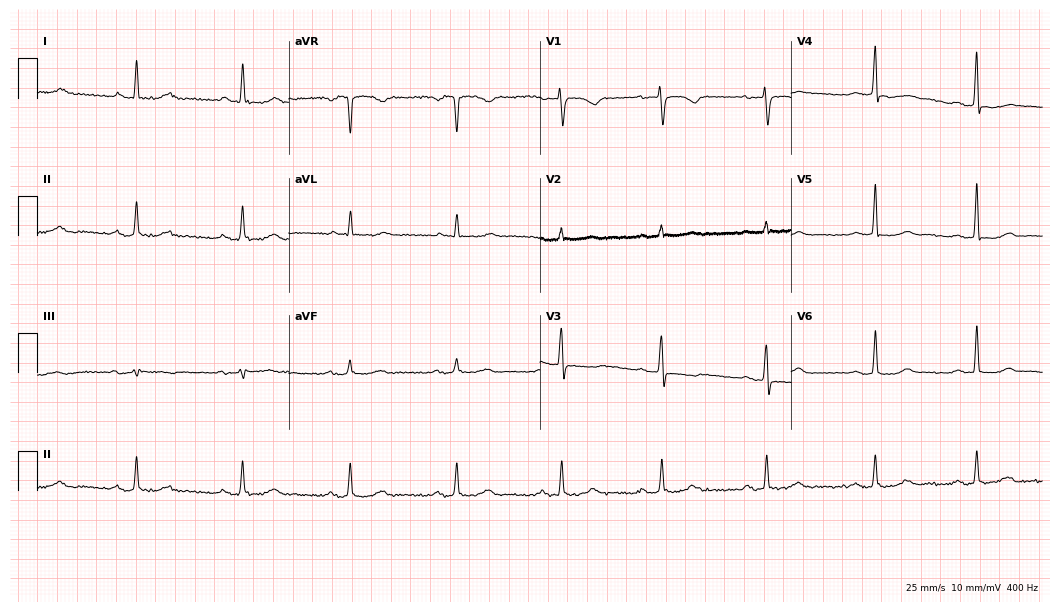
ECG (10.2-second recording at 400 Hz) — a female patient, 54 years old. Screened for six findings — first-degree AV block, right bundle branch block, left bundle branch block, sinus bradycardia, atrial fibrillation, sinus tachycardia — none is recorded. Other findings, if any, are not listed.